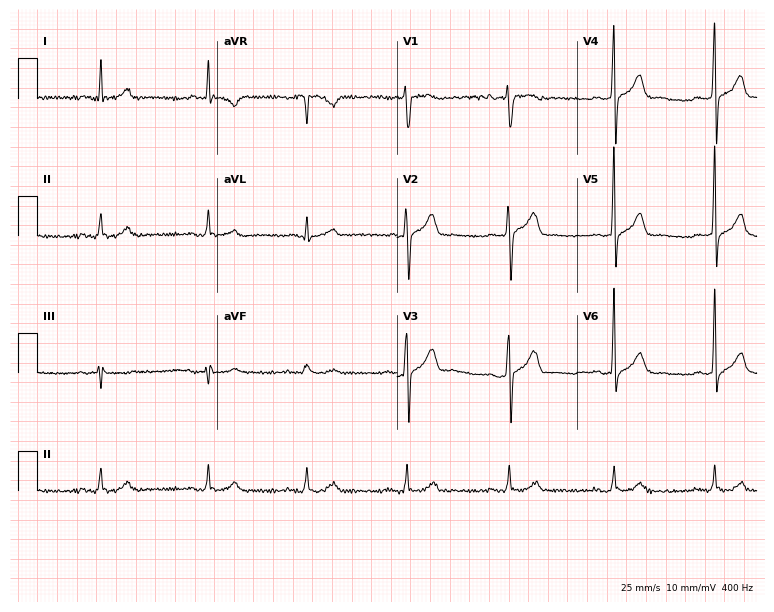
12-lead ECG from a male, 44 years old. No first-degree AV block, right bundle branch block (RBBB), left bundle branch block (LBBB), sinus bradycardia, atrial fibrillation (AF) or sinus tachycardia recorded for this tracing. Findings outside these six are not listed.